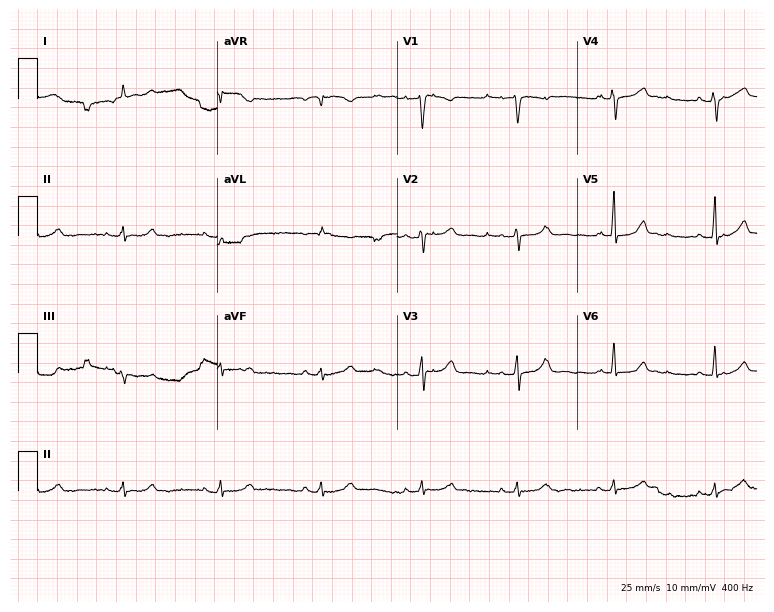
12-lead ECG from a female, 47 years old. Screened for six findings — first-degree AV block, right bundle branch block, left bundle branch block, sinus bradycardia, atrial fibrillation, sinus tachycardia — none is recorded.